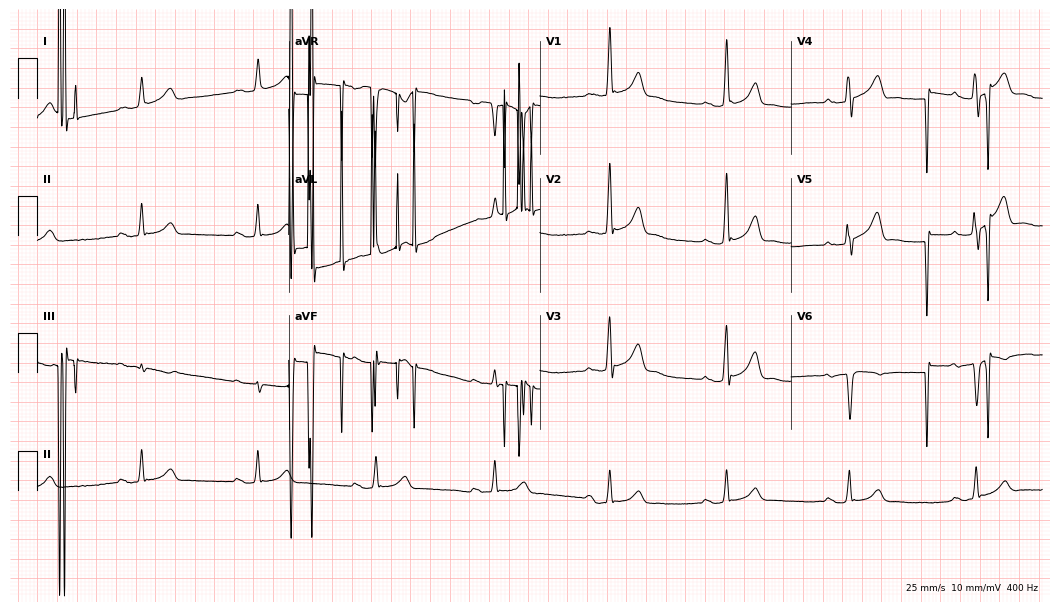
12-lead ECG from a 60-year-old female patient (10.2-second recording at 400 Hz). No first-degree AV block, right bundle branch block, left bundle branch block, sinus bradycardia, atrial fibrillation or sinus tachycardia recorded for this tracing. Only these six findings were labelled.